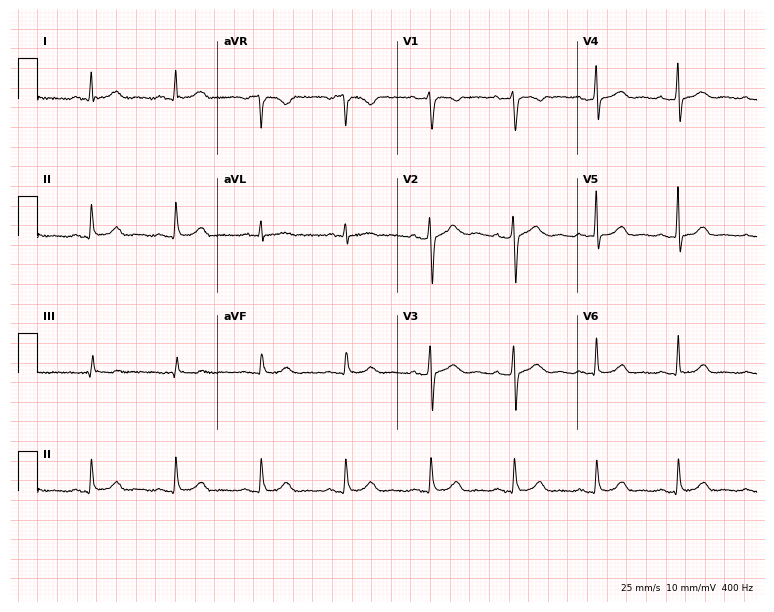
Standard 12-lead ECG recorded from a female patient, 54 years old (7.3-second recording at 400 Hz). None of these six findings is recorded: first-degree AV block, right bundle branch block (RBBB), left bundle branch block (LBBB), sinus bradycardia, atrial fibrillation (AF), sinus tachycardia.